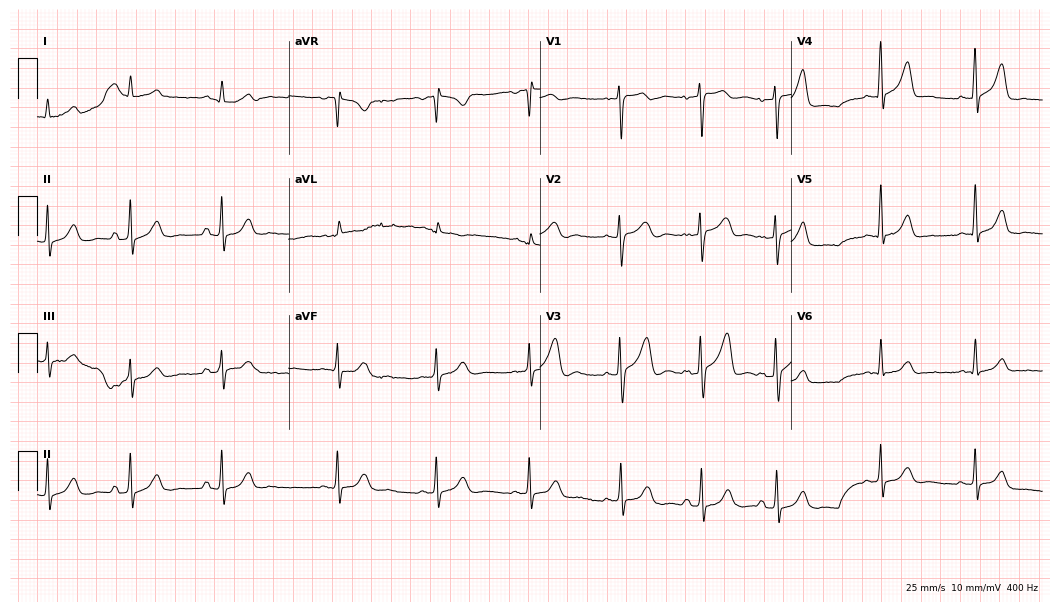
ECG — a 52-year-old male patient. Labelled as a normal ECG.